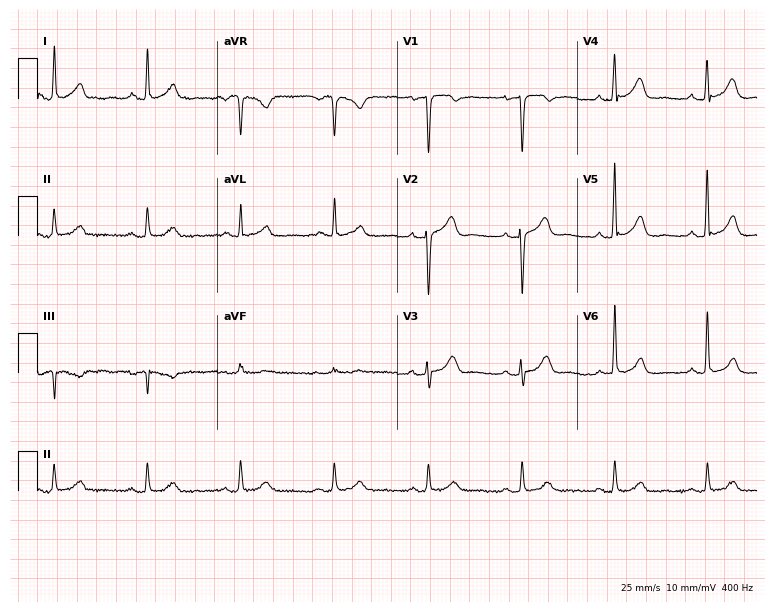
ECG (7.3-second recording at 400 Hz) — a male patient, 76 years old. Screened for six findings — first-degree AV block, right bundle branch block, left bundle branch block, sinus bradycardia, atrial fibrillation, sinus tachycardia — none is recorded.